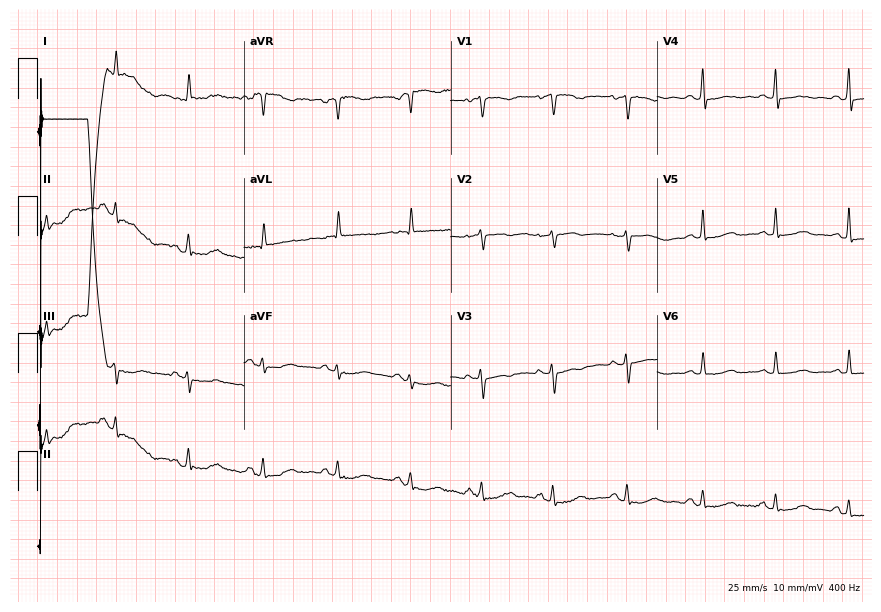
ECG (8.4-second recording at 400 Hz) — a 78-year-old female patient. Screened for six findings — first-degree AV block, right bundle branch block, left bundle branch block, sinus bradycardia, atrial fibrillation, sinus tachycardia — none is recorded.